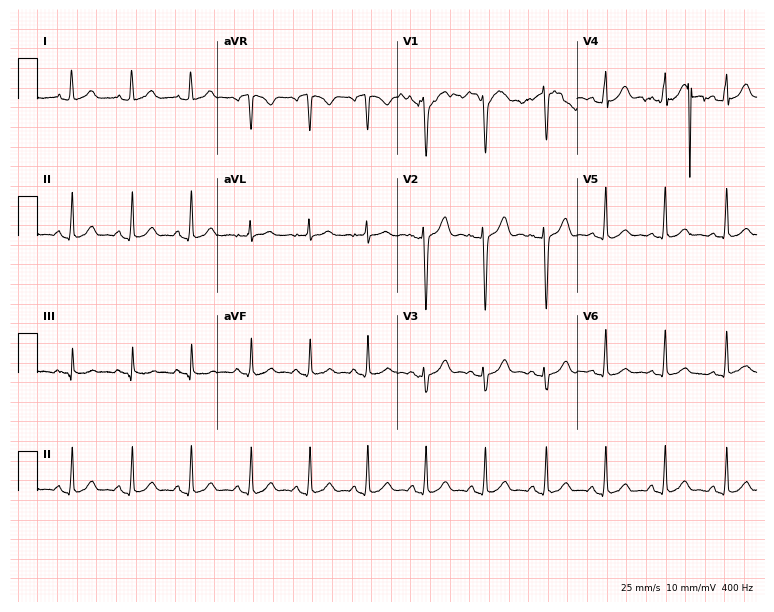
Electrocardiogram (7.3-second recording at 400 Hz), a woman, 26 years old. Of the six screened findings (first-degree AV block, right bundle branch block, left bundle branch block, sinus bradycardia, atrial fibrillation, sinus tachycardia), none is recorded. Only these six findings were labelled.